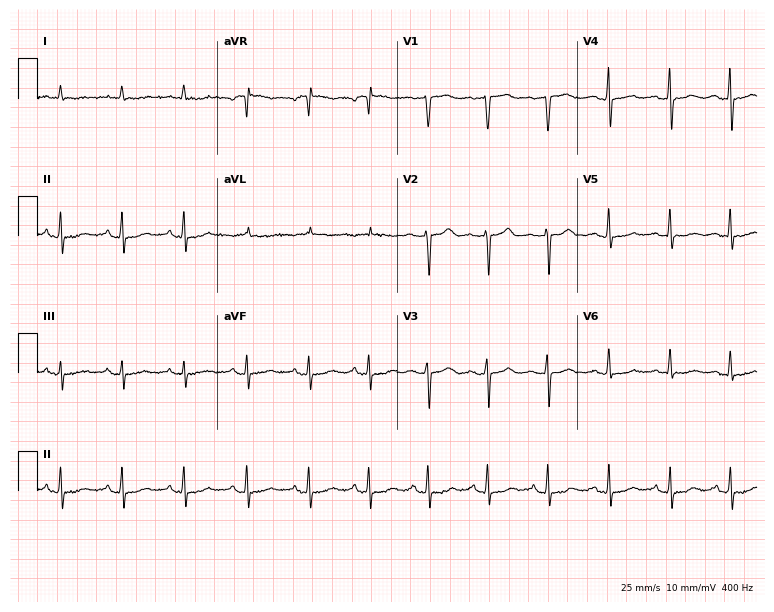
12-lead ECG from a female patient, 44 years old. No first-degree AV block, right bundle branch block, left bundle branch block, sinus bradycardia, atrial fibrillation or sinus tachycardia recorded for this tracing. Other findings, if any, are not listed.